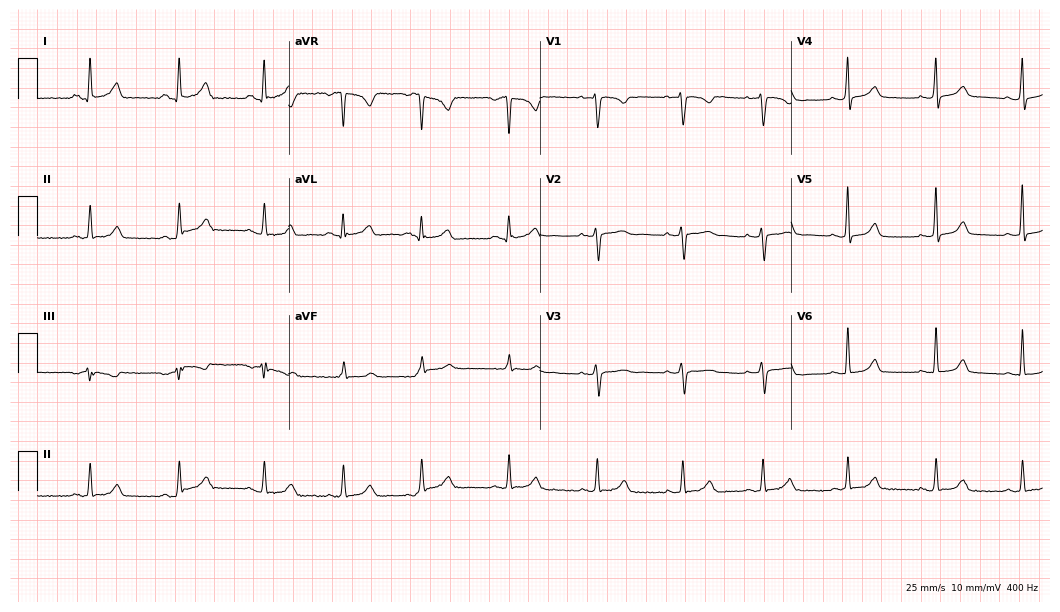
Standard 12-lead ECG recorded from a female, 17 years old. Read as a normal ECG.